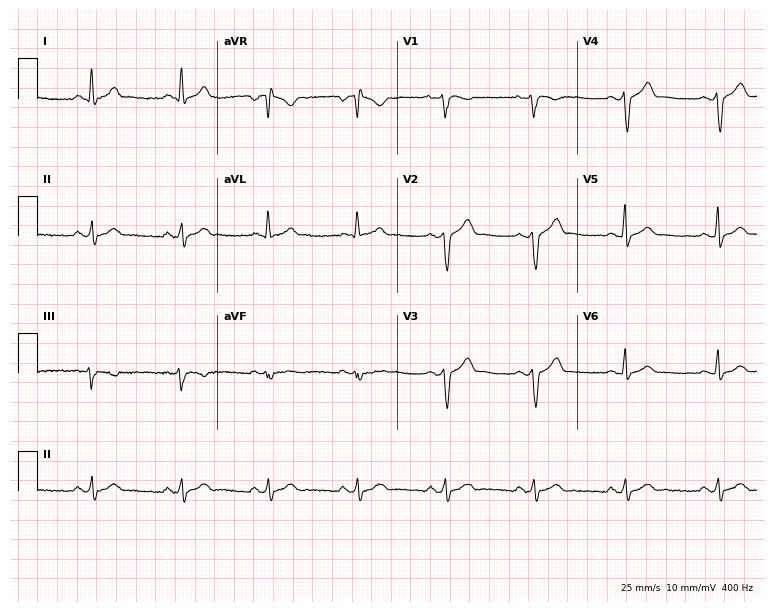
Resting 12-lead electrocardiogram (7.3-second recording at 400 Hz). Patient: a male, 35 years old. None of these six findings is recorded: first-degree AV block, right bundle branch block, left bundle branch block, sinus bradycardia, atrial fibrillation, sinus tachycardia. Other findings, if any, are not listed.